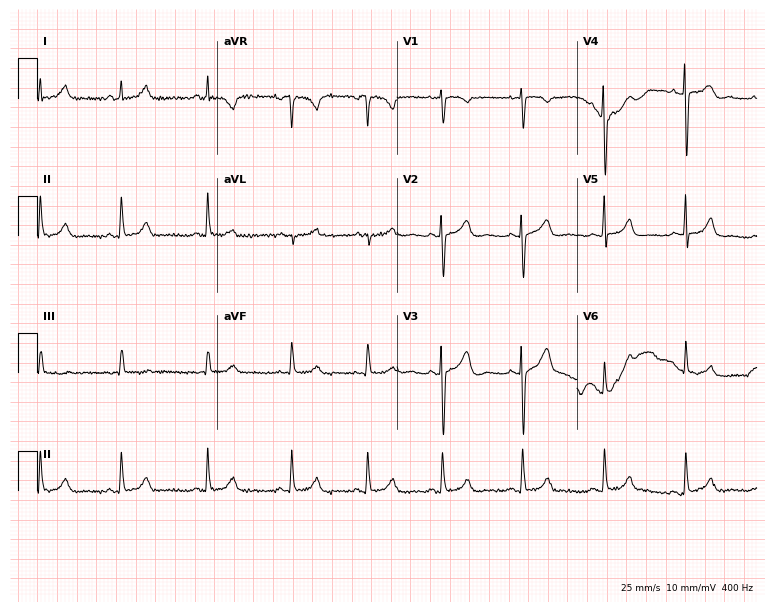
ECG — a 20-year-old female patient. Screened for six findings — first-degree AV block, right bundle branch block (RBBB), left bundle branch block (LBBB), sinus bradycardia, atrial fibrillation (AF), sinus tachycardia — none is recorded.